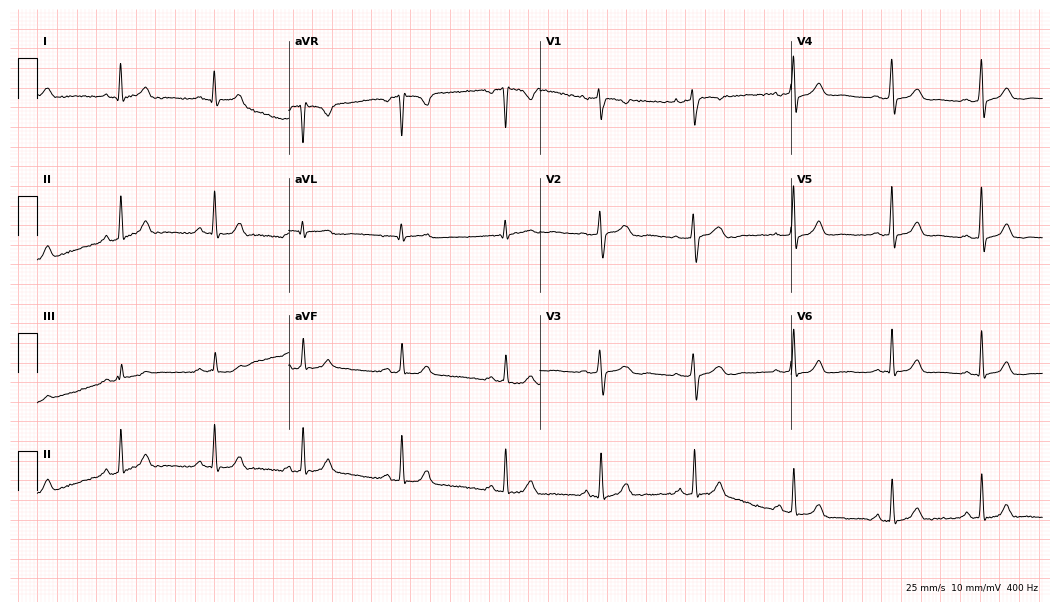
ECG — a 40-year-old female. Labelled as a normal ECG.